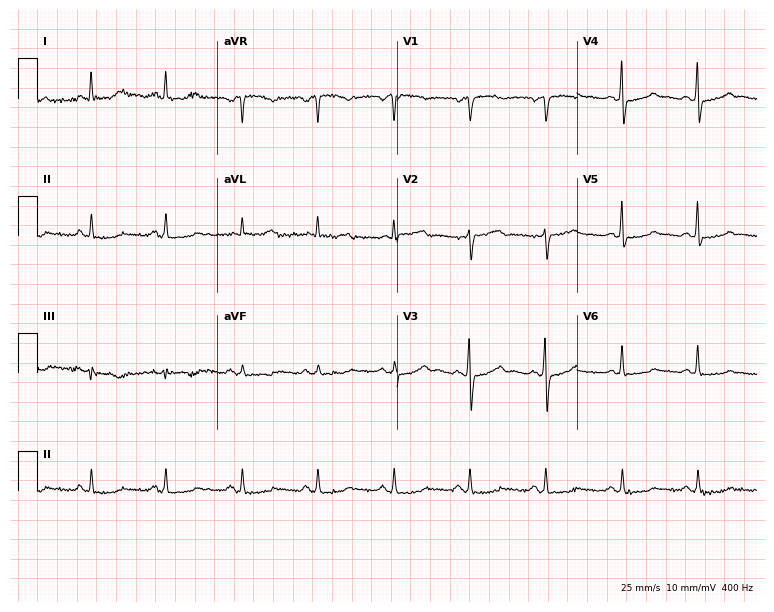
Electrocardiogram, a woman, 62 years old. Overall reading on record: normal ECG.